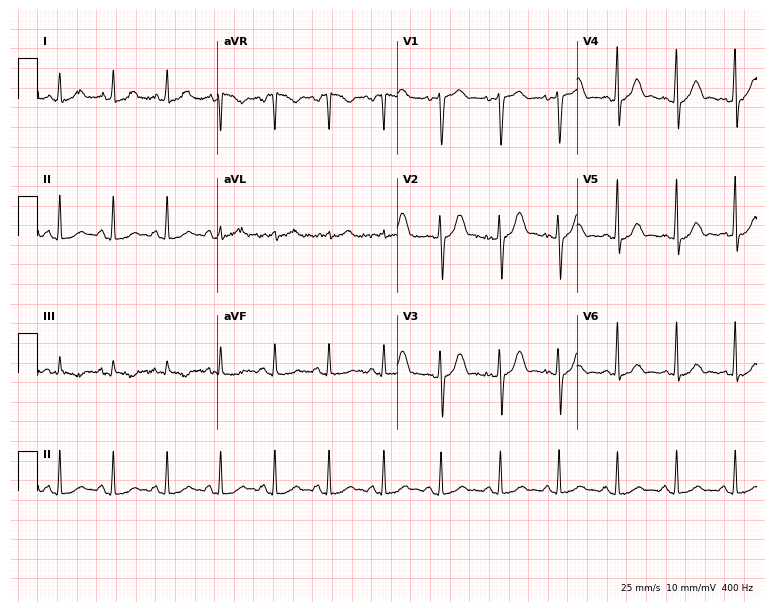
Resting 12-lead electrocardiogram. Patient: a man, 26 years old. The tracing shows sinus tachycardia (a sinus rate of 100 beats per minute or more).